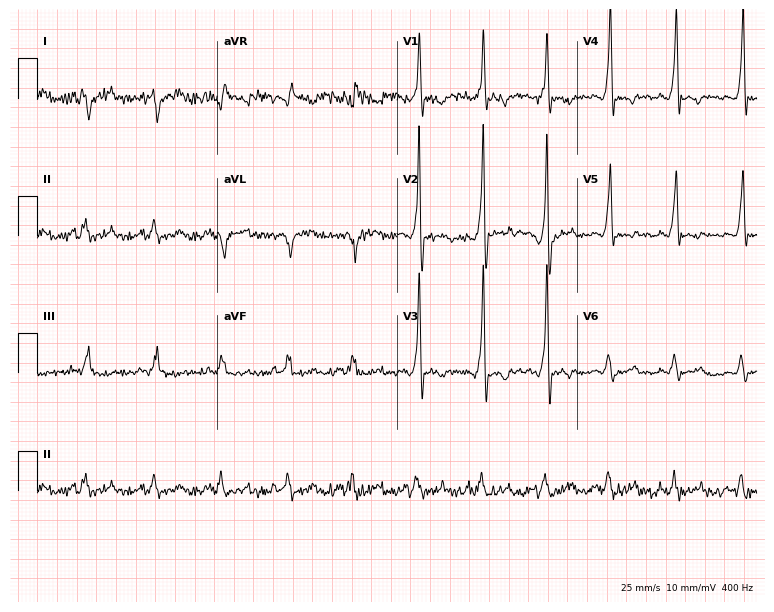
12-lead ECG from a man, 30 years old (7.3-second recording at 400 Hz). No first-degree AV block, right bundle branch block, left bundle branch block, sinus bradycardia, atrial fibrillation or sinus tachycardia recorded for this tracing.